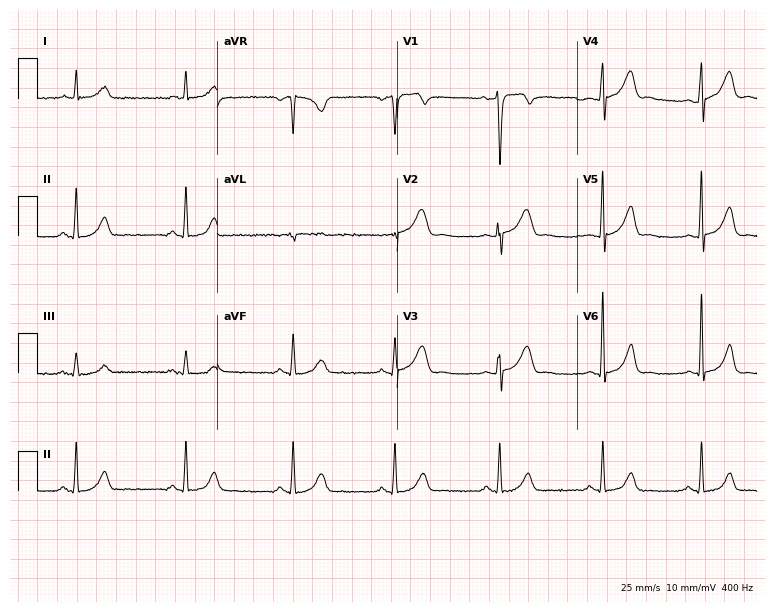
Standard 12-lead ECG recorded from a male patient, 55 years old (7.3-second recording at 400 Hz). None of these six findings is recorded: first-degree AV block, right bundle branch block (RBBB), left bundle branch block (LBBB), sinus bradycardia, atrial fibrillation (AF), sinus tachycardia. Findings outside these six are not listed.